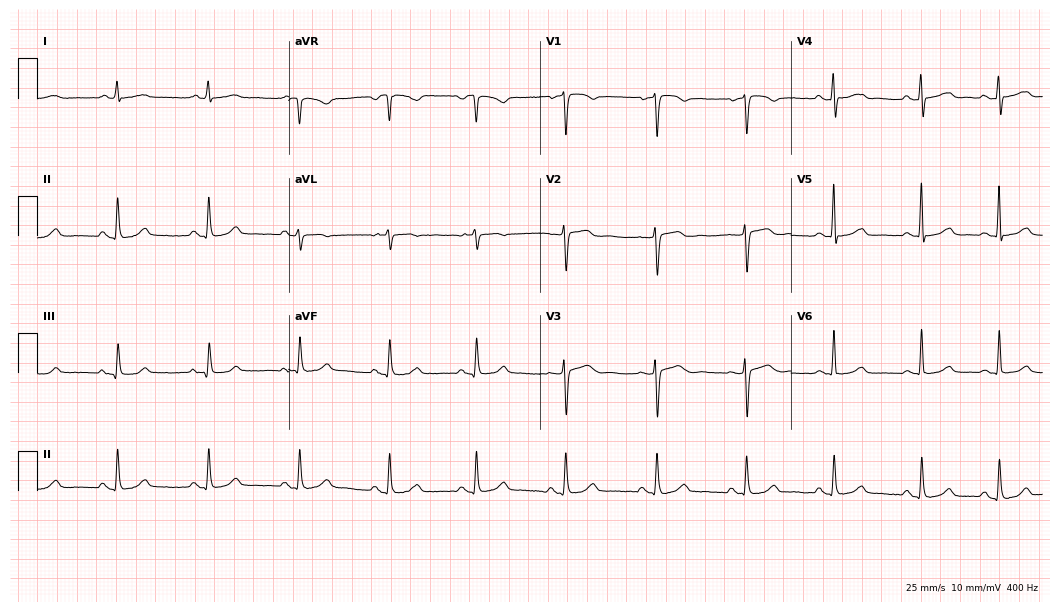
Standard 12-lead ECG recorded from a female patient, 65 years old (10.2-second recording at 400 Hz). Read as a normal ECG.